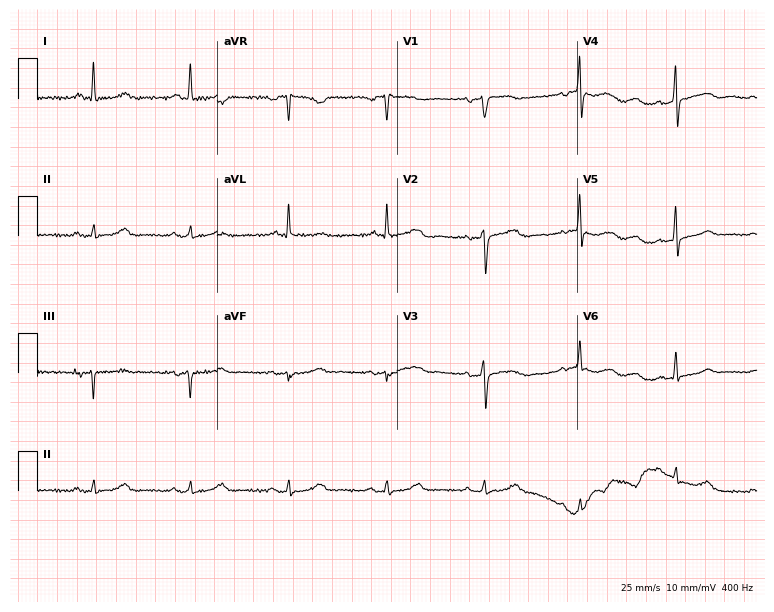
Standard 12-lead ECG recorded from a female patient, 71 years old. None of these six findings is recorded: first-degree AV block, right bundle branch block, left bundle branch block, sinus bradycardia, atrial fibrillation, sinus tachycardia.